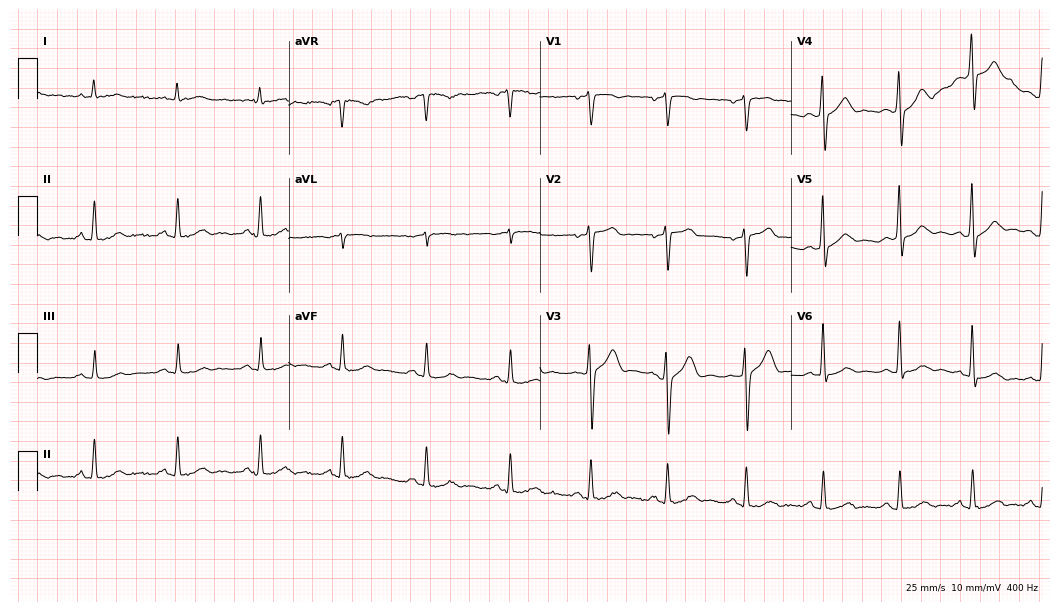
Resting 12-lead electrocardiogram (10.2-second recording at 400 Hz). Patient: a male, 46 years old. Read as a normal ECG.